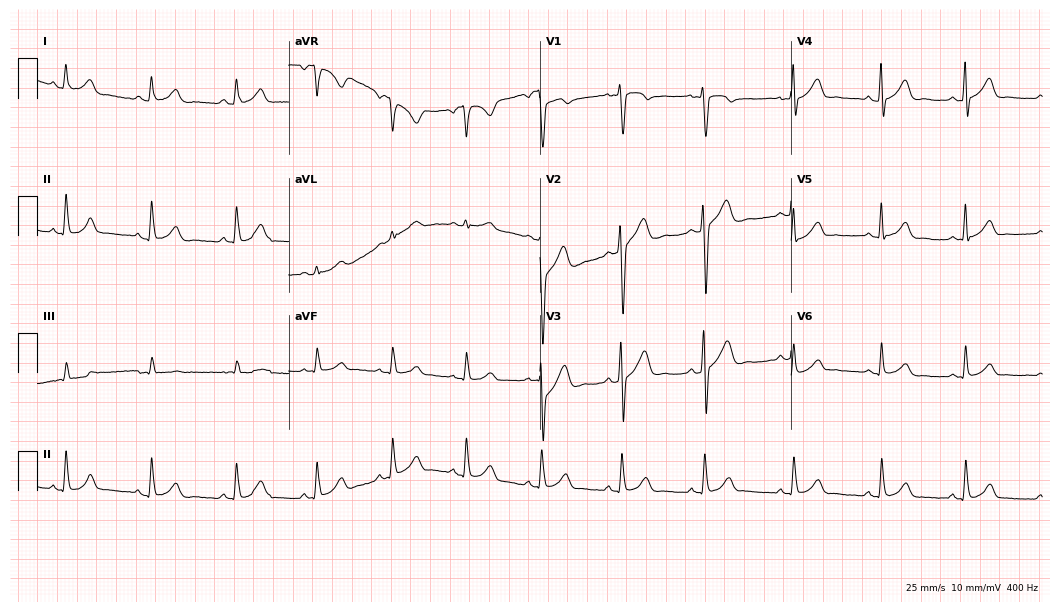
ECG — a 23-year-old male. Labelled as a normal ECG.